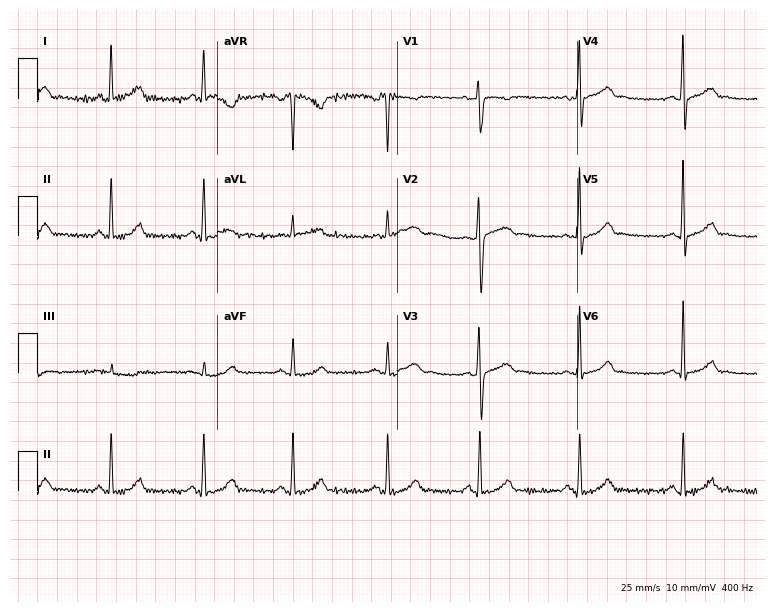
Resting 12-lead electrocardiogram. Patient: a female, 26 years old. None of these six findings is recorded: first-degree AV block, right bundle branch block (RBBB), left bundle branch block (LBBB), sinus bradycardia, atrial fibrillation (AF), sinus tachycardia.